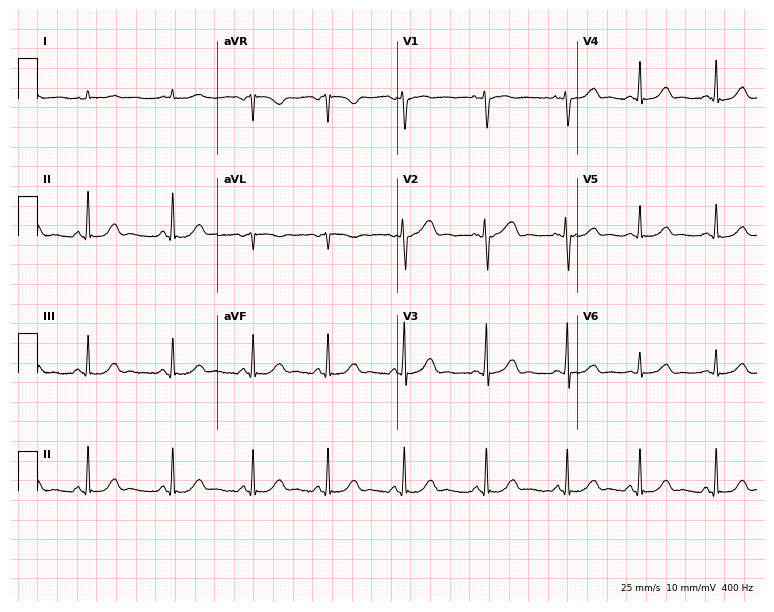
12-lead ECG from a 45-year-old woman. Labelled as a normal ECG.